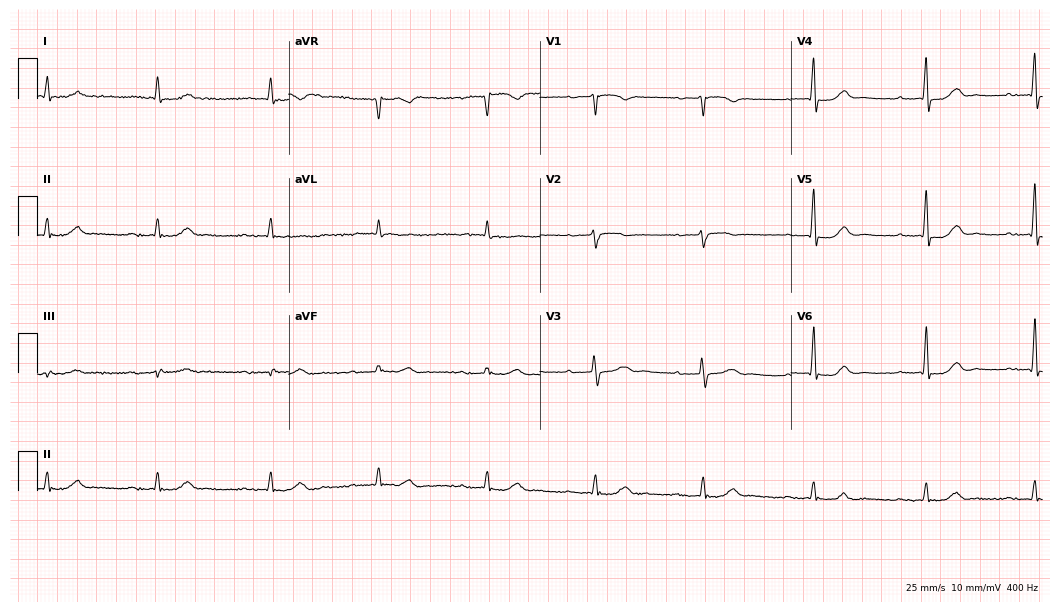
ECG (10.2-second recording at 400 Hz) — an 84-year-old male patient. Findings include first-degree AV block.